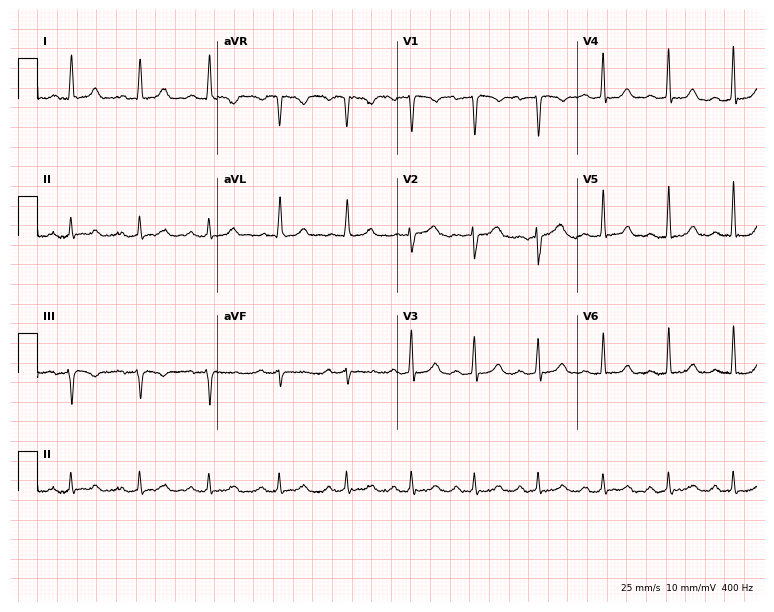
12-lead ECG from a 50-year-old female. Recorded interpretation: within normal limits.